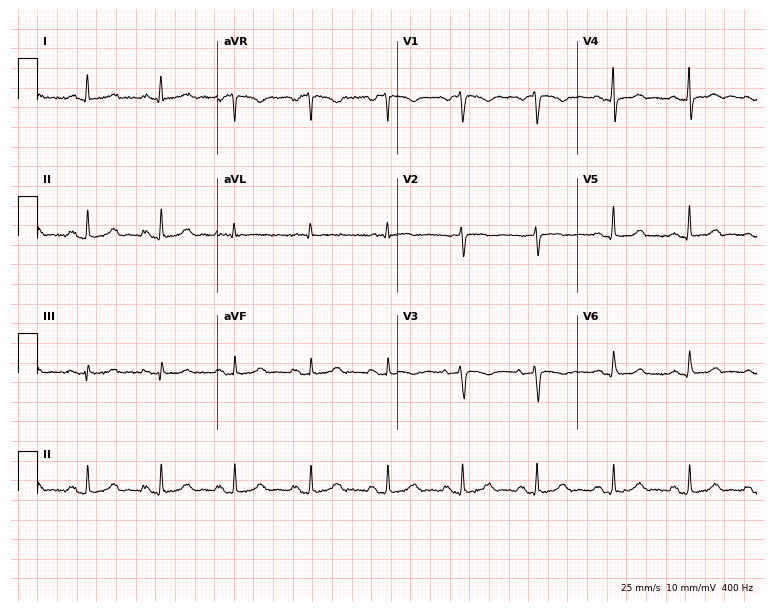
ECG — a 53-year-old woman. Screened for six findings — first-degree AV block, right bundle branch block, left bundle branch block, sinus bradycardia, atrial fibrillation, sinus tachycardia — none is recorded.